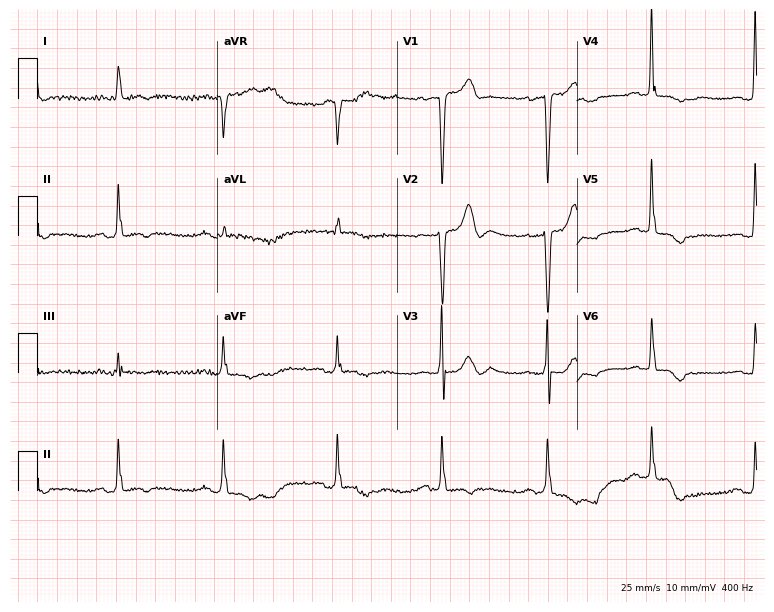
12-lead ECG from a man, 80 years old. No first-degree AV block, right bundle branch block, left bundle branch block, sinus bradycardia, atrial fibrillation or sinus tachycardia recorded for this tracing.